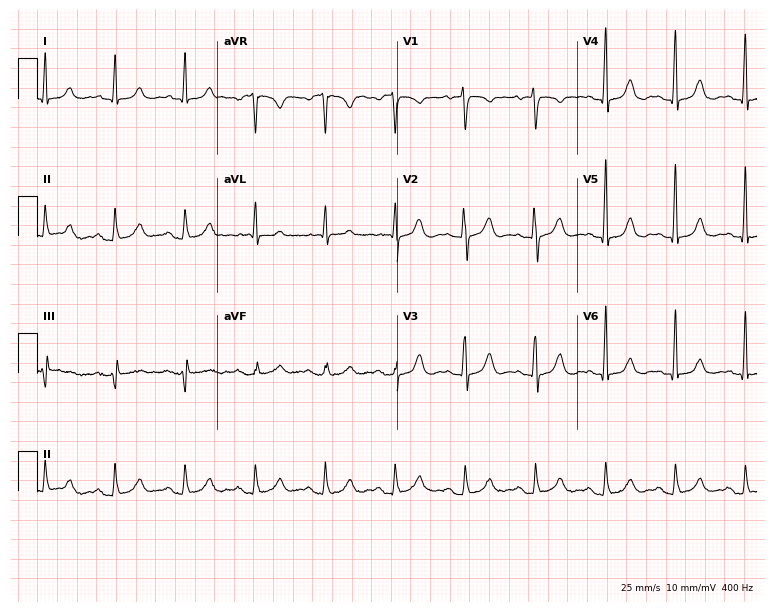
12-lead ECG from a 62-year-old female (7.3-second recording at 400 Hz). Recorded interpretation: within normal limits.